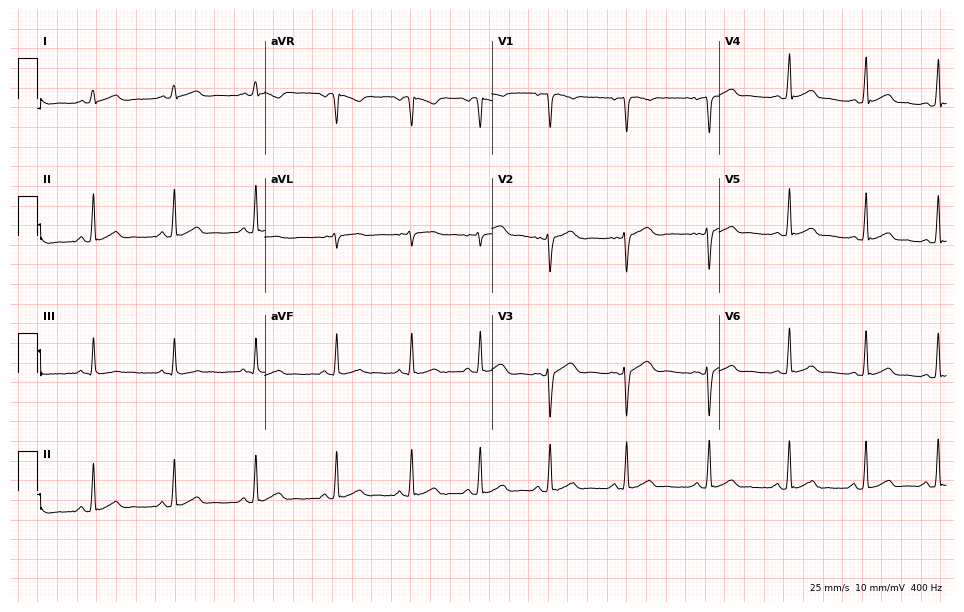
Electrocardiogram, a woman, 22 years old. Overall reading on record: normal ECG.